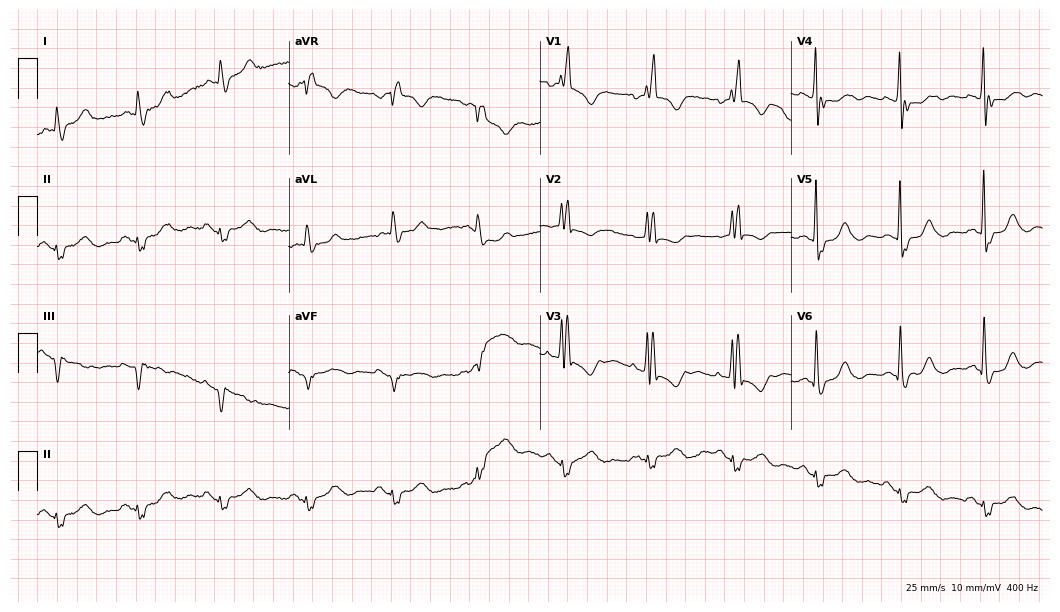
Standard 12-lead ECG recorded from a female, 74 years old (10.2-second recording at 400 Hz). The tracing shows right bundle branch block.